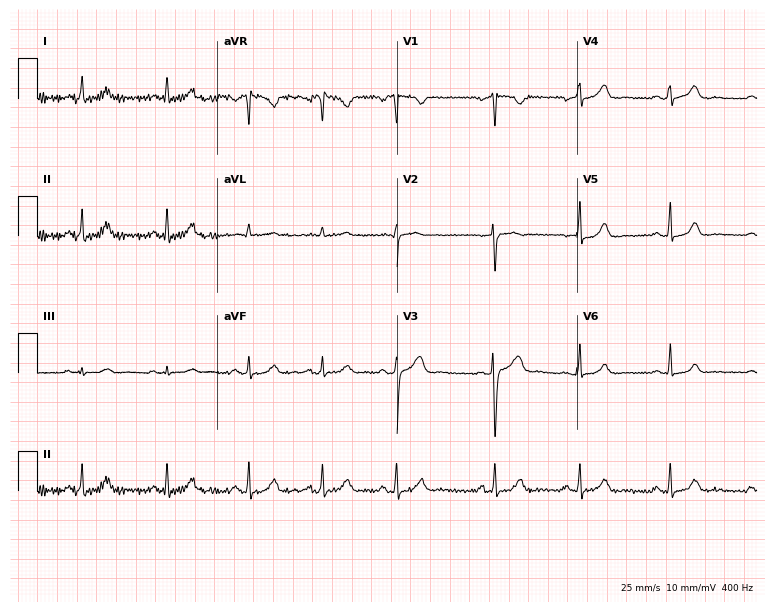
Resting 12-lead electrocardiogram (7.3-second recording at 400 Hz). Patient: a 22-year-old female. Read as a normal ECG.